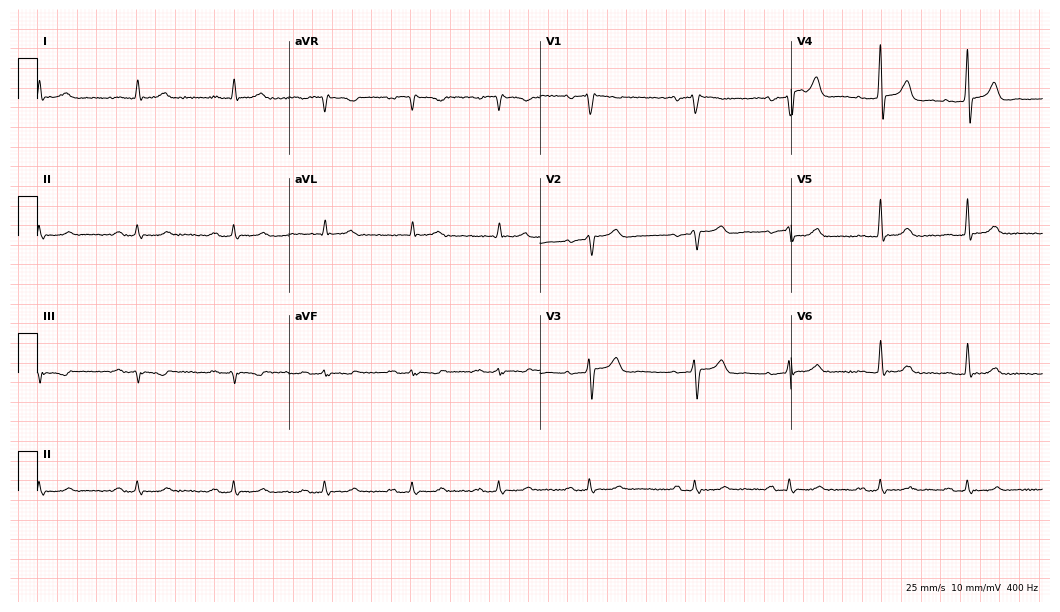
ECG — a 72-year-old male. Labelled as a normal ECG.